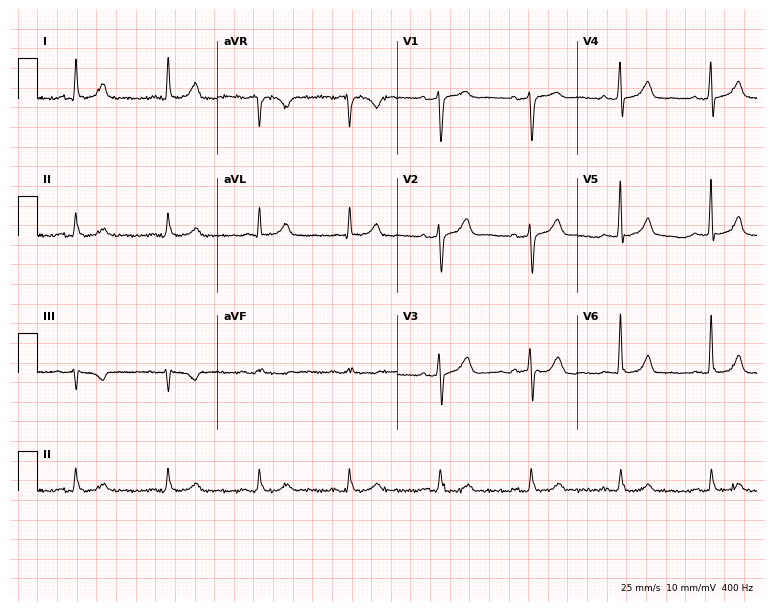
12-lead ECG (7.3-second recording at 400 Hz) from a 62-year-old man. Screened for six findings — first-degree AV block, right bundle branch block, left bundle branch block, sinus bradycardia, atrial fibrillation, sinus tachycardia — none is recorded.